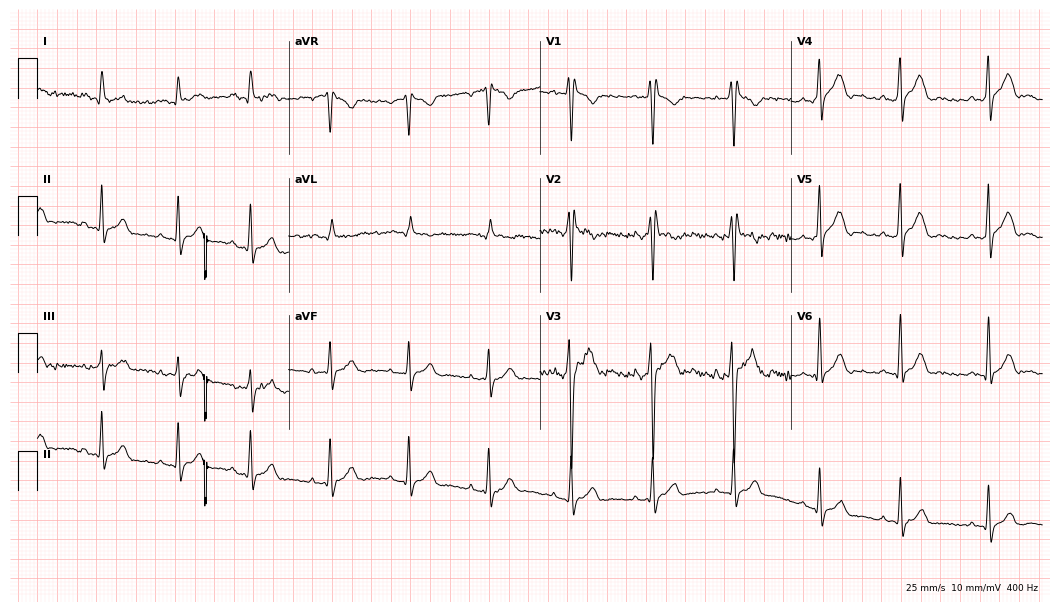
ECG — a man, 18 years old. Findings include right bundle branch block (RBBB).